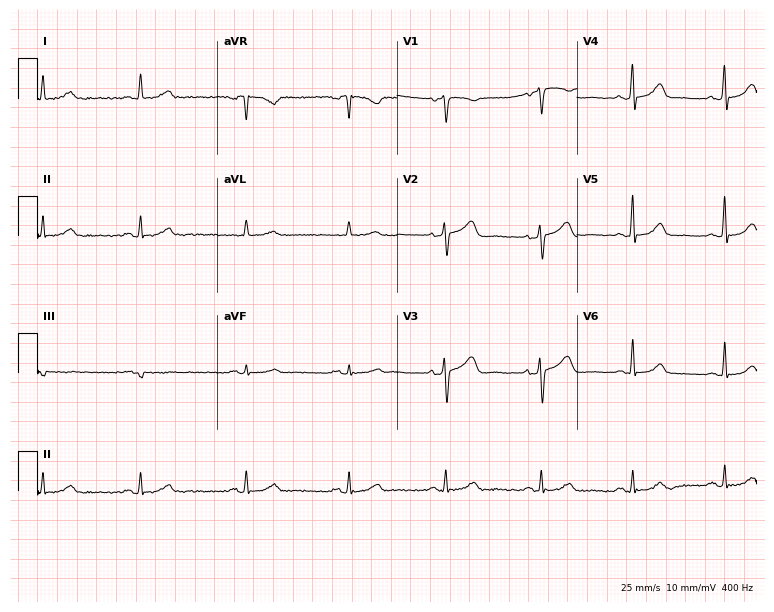
12-lead ECG from a 63-year-old woman. No first-degree AV block, right bundle branch block (RBBB), left bundle branch block (LBBB), sinus bradycardia, atrial fibrillation (AF) or sinus tachycardia recorded for this tracing.